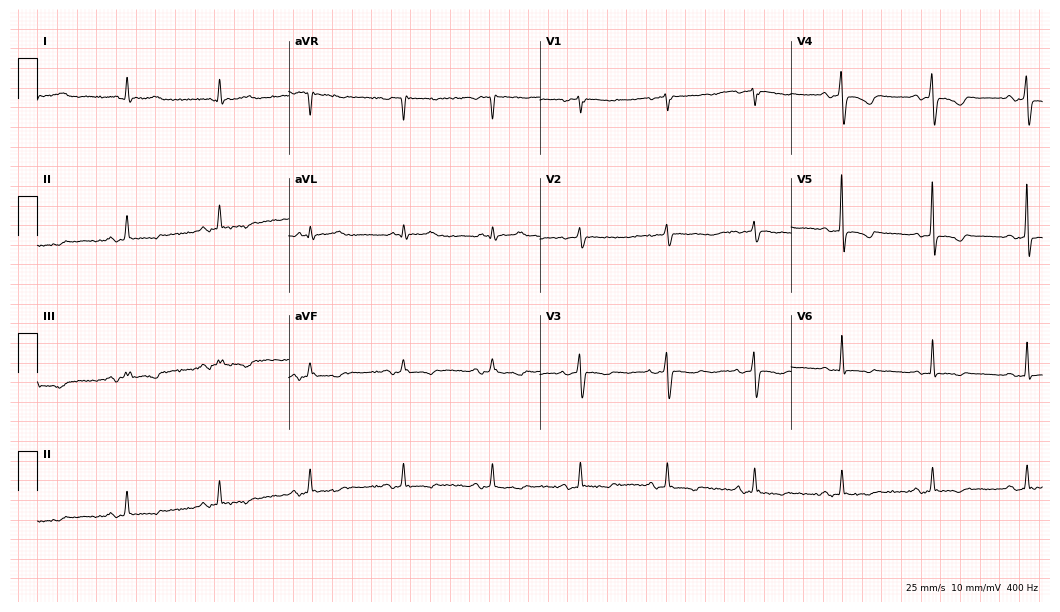
Standard 12-lead ECG recorded from an 81-year-old female. None of these six findings is recorded: first-degree AV block, right bundle branch block, left bundle branch block, sinus bradycardia, atrial fibrillation, sinus tachycardia. Only these six findings were labelled.